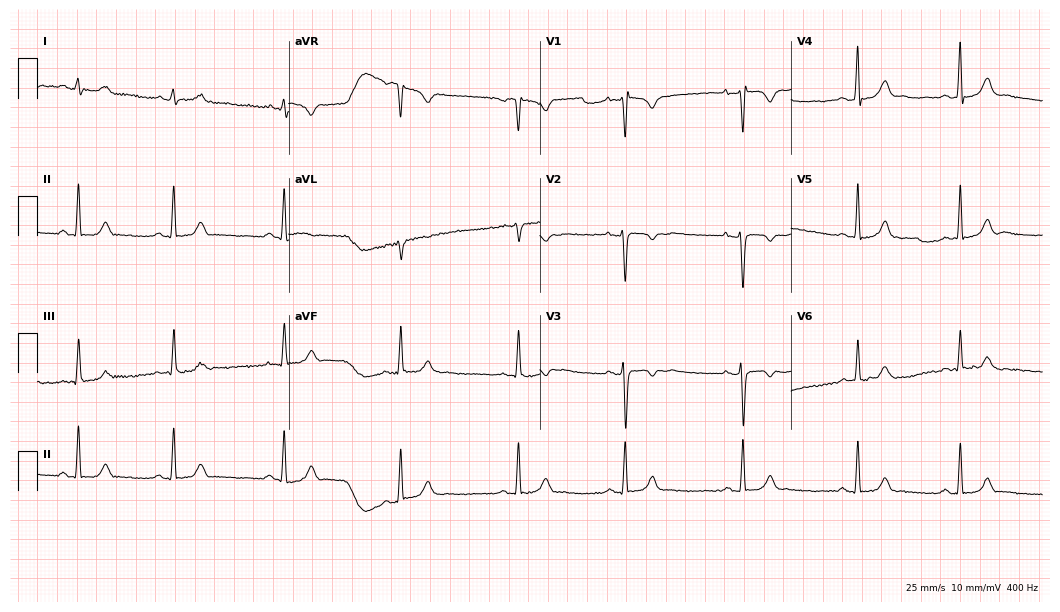
Resting 12-lead electrocardiogram. Patient: a 20-year-old female. Read as a normal ECG.